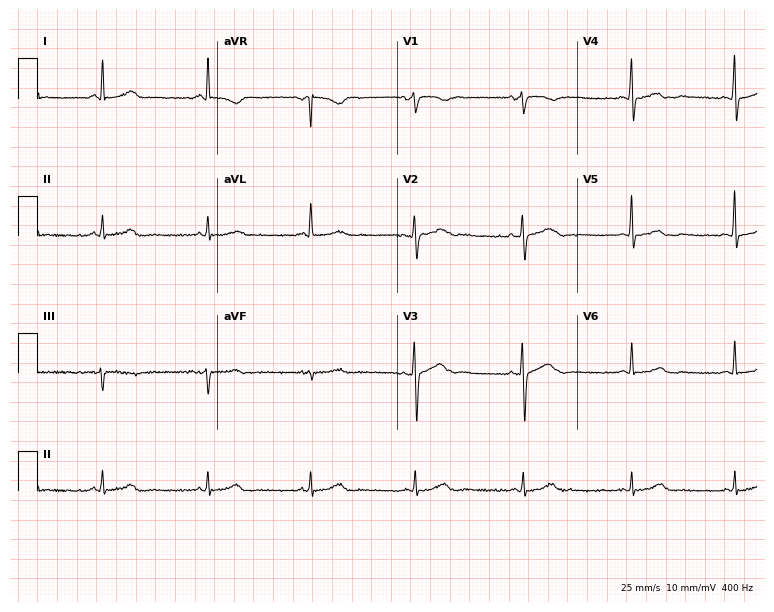
Standard 12-lead ECG recorded from a 54-year-old female (7.3-second recording at 400 Hz). Read as a normal ECG.